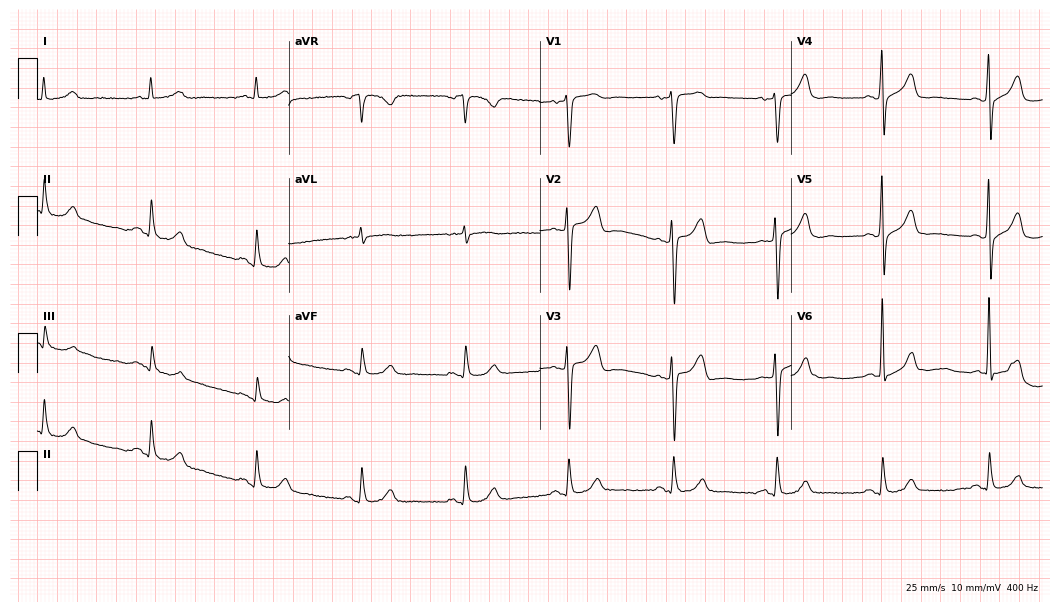
12-lead ECG (10.2-second recording at 400 Hz) from a 71-year-old man. Labelled as a normal ECG.